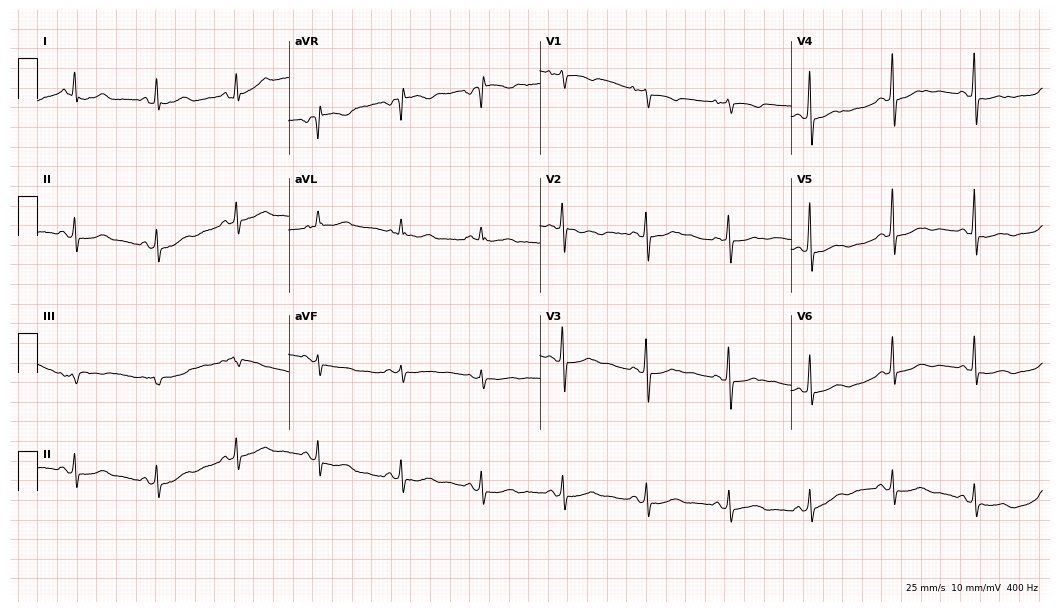
Standard 12-lead ECG recorded from a 61-year-old woman (10.2-second recording at 400 Hz). Read as a normal ECG.